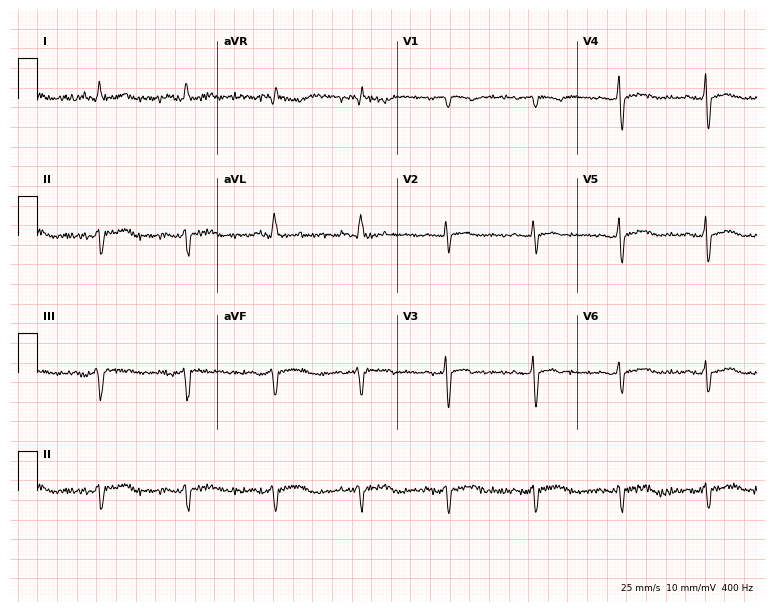
12-lead ECG from an 81-year-old male patient. Screened for six findings — first-degree AV block, right bundle branch block, left bundle branch block, sinus bradycardia, atrial fibrillation, sinus tachycardia — none is recorded.